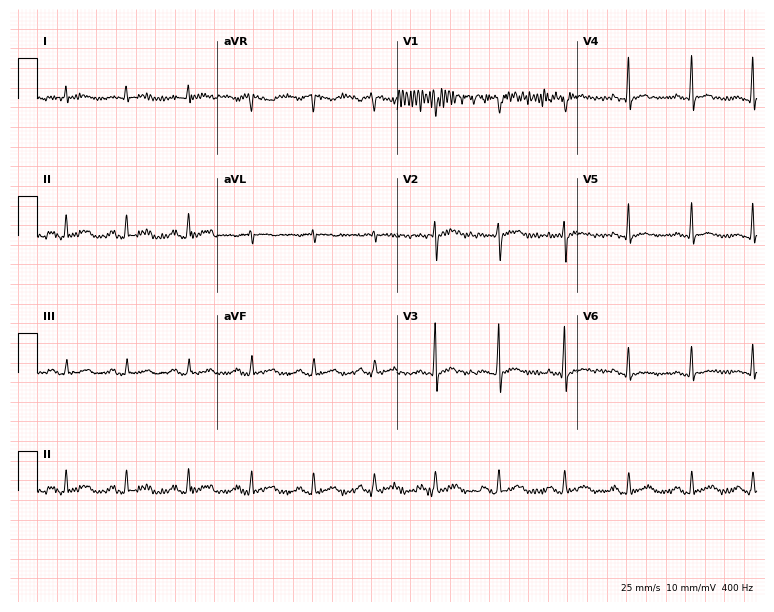
Standard 12-lead ECG recorded from a 44-year-old male. None of these six findings is recorded: first-degree AV block, right bundle branch block, left bundle branch block, sinus bradycardia, atrial fibrillation, sinus tachycardia.